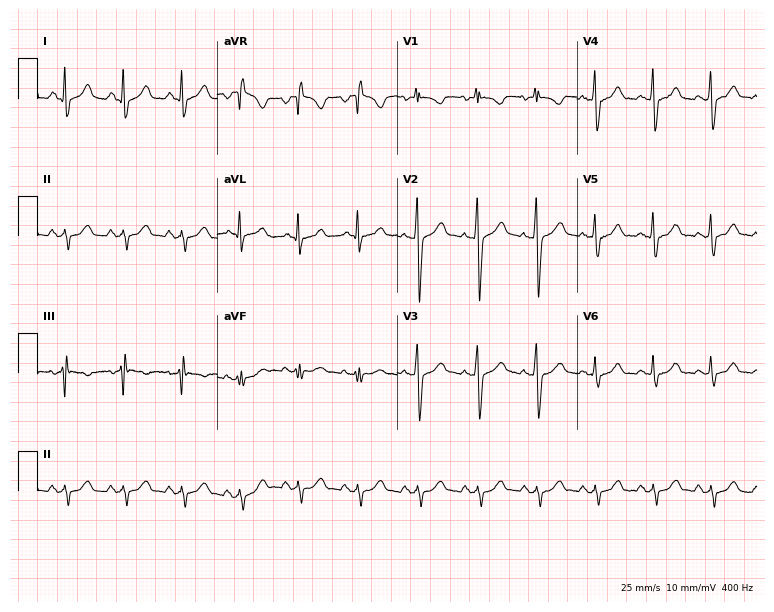
12-lead ECG from a male patient, 35 years old. Screened for six findings — first-degree AV block, right bundle branch block, left bundle branch block, sinus bradycardia, atrial fibrillation, sinus tachycardia — none is recorded. Other findings, if any, are not listed.